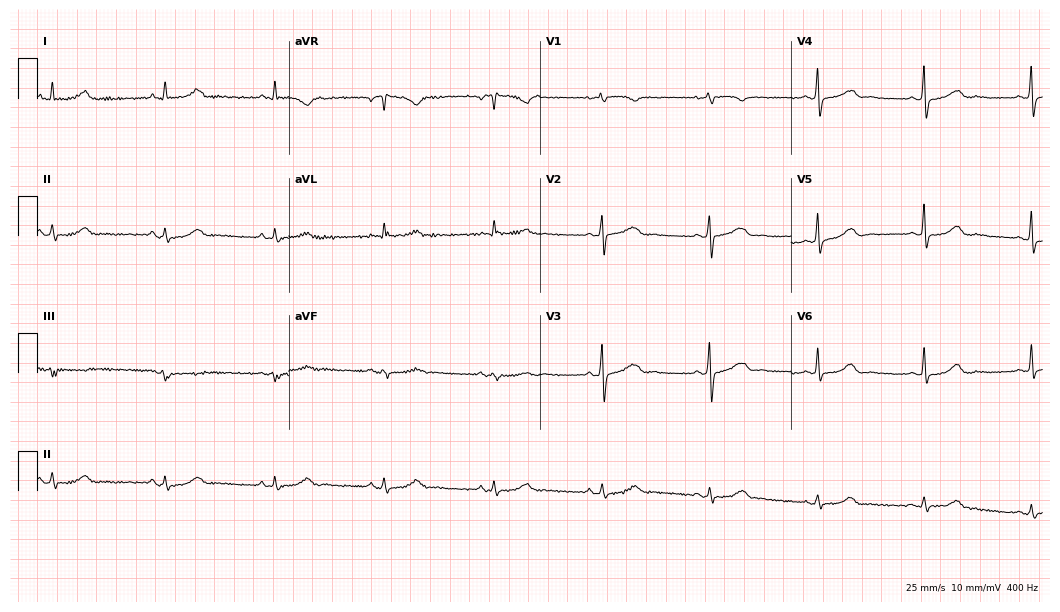
12-lead ECG from a 55-year-old female (10.2-second recording at 400 Hz). Recorded interpretation: within normal limits.